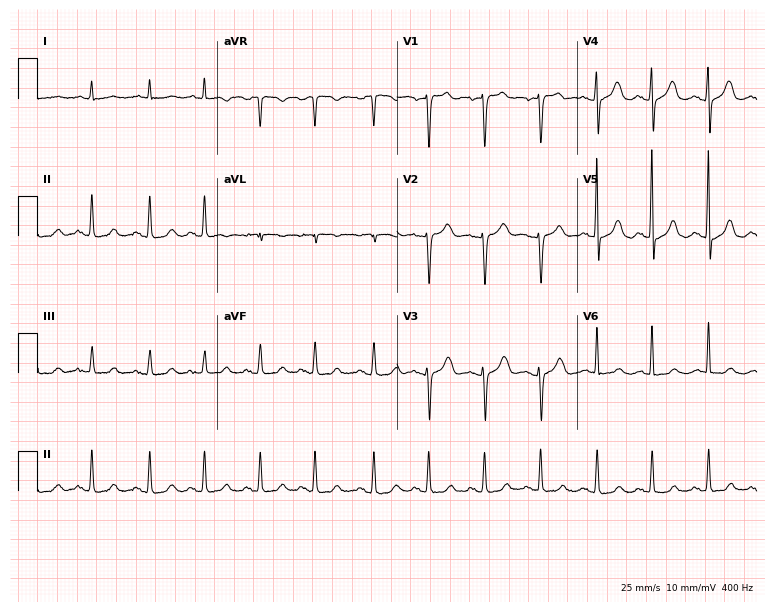
Resting 12-lead electrocardiogram (7.3-second recording at 400 Hz). Patient: a female, 87 years old. The tracing shows sinus tachycardia (a sinus rate of 100 beats per minute or more).